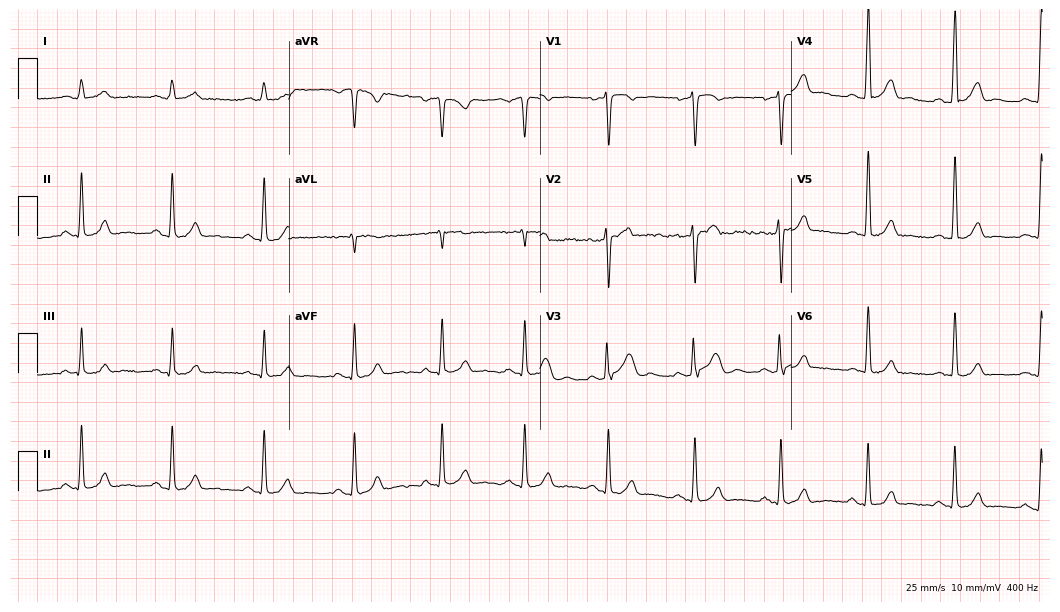
12-lead ECG (10.2-second recording at 400 Hz) from a 49-year-old male. Labelled as a normal ECG.